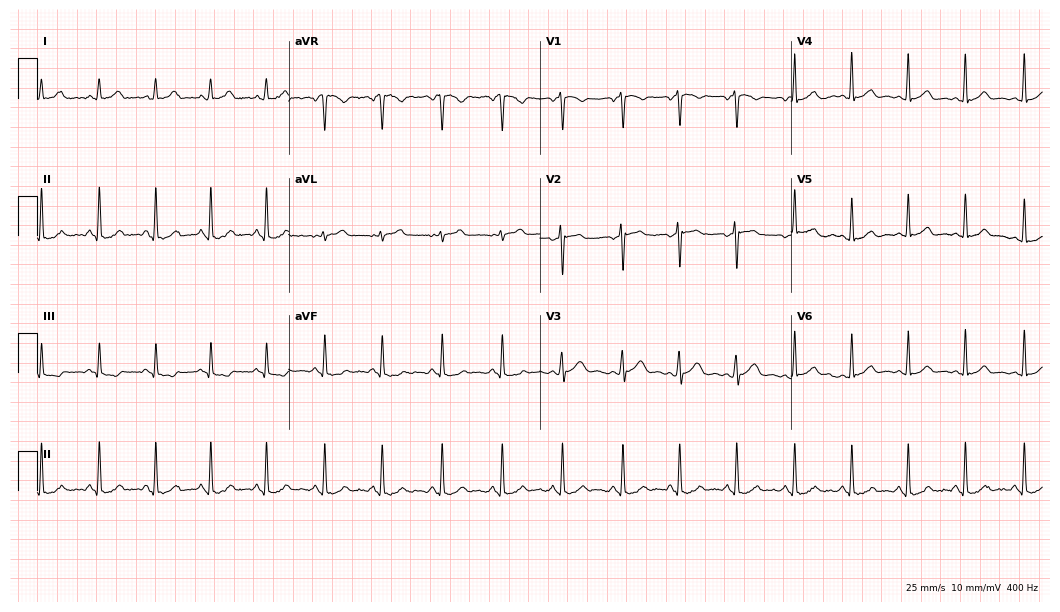
ECG — a female, 22 years old. Findings include sinus tachycardia (a sinus rate of 100 beats per minute or more).